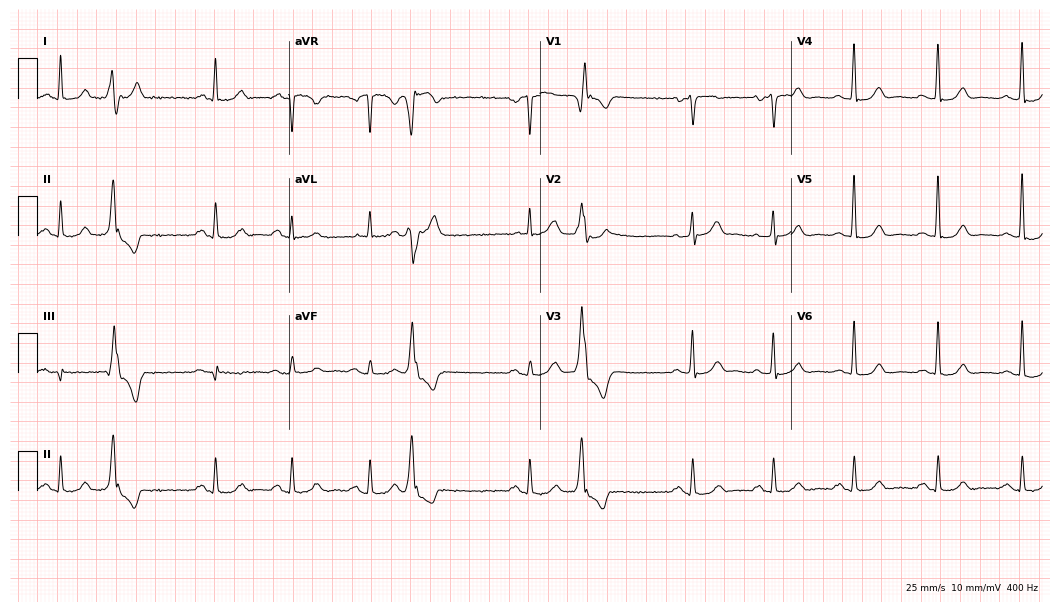
12-lead ECG from a 76-year-old male (10.2-second recording at 400 Hz). No first-degree AV block, right bundle branch block (RBBB), left bundle branch block (LBBB), sinus bradycardia, atrial fibrillation (AF) or sinus tachycardia recorded for this tracing. Findings outside these six are not listed.